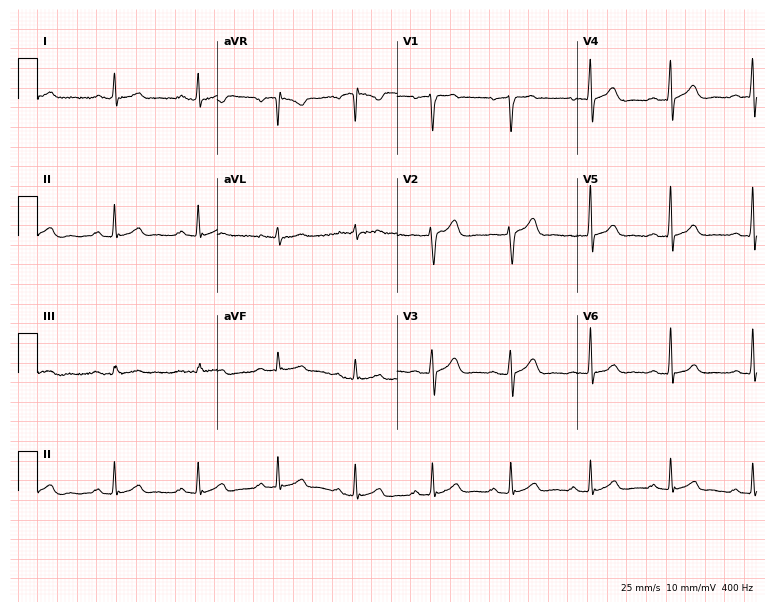
Resting 12-lead electrocardiogram (7.3-second recording at 400 Hz). Patient: a 46-year-old male. Read as a normal ECG.